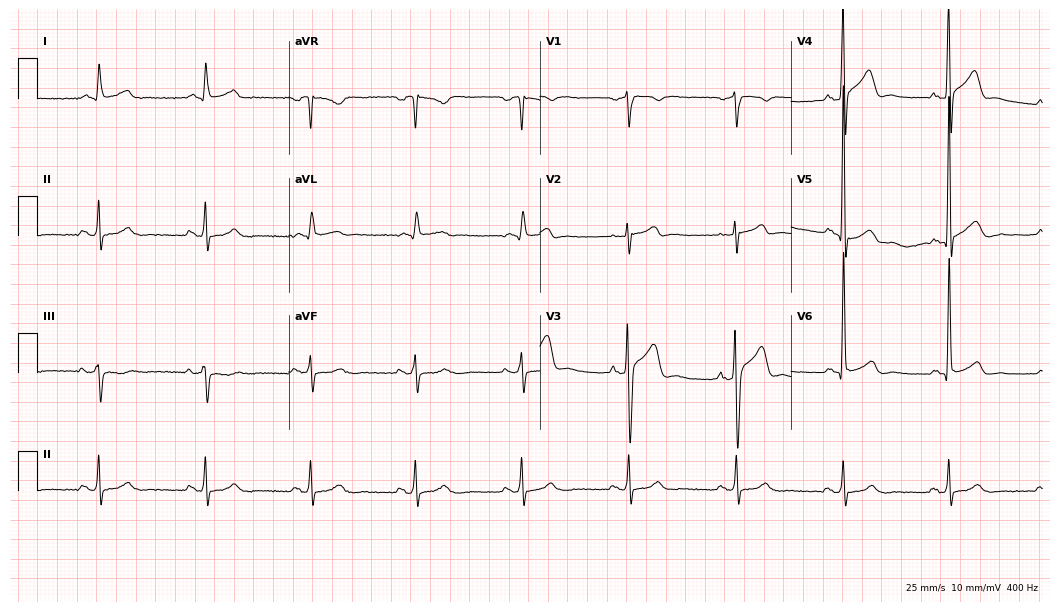
Electrocardiogram (10.2-second recording at 400 Hz), a male patient, 68 years old. Overall reading on record: normal ECG.